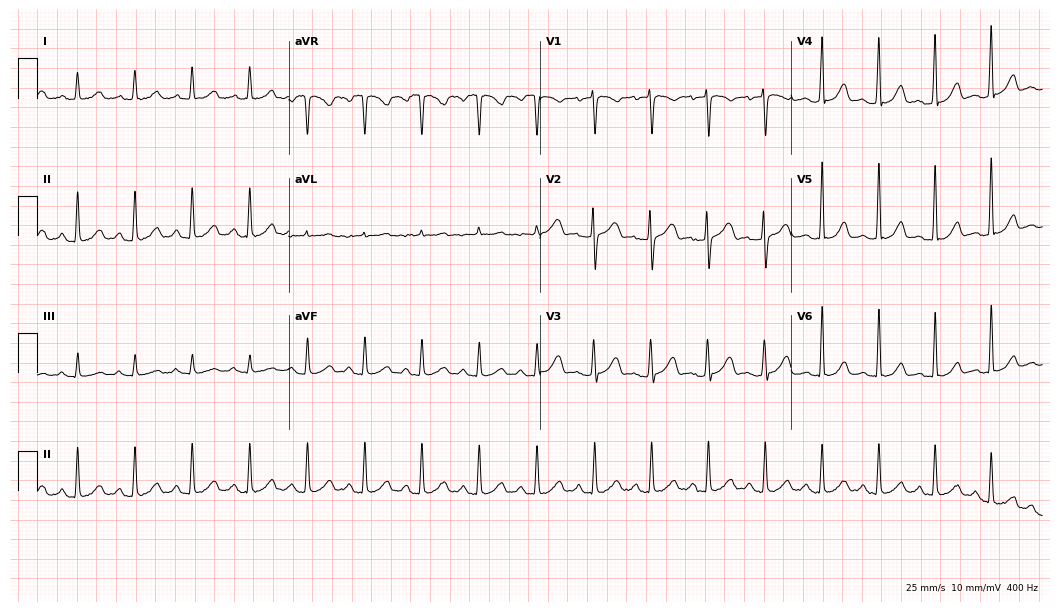
Resting 12-lead electrocardiogram. Patient: a 48-year-old female. The tracing shows sinus tachycardia (a sinus rate of 100 beats per minute or more).